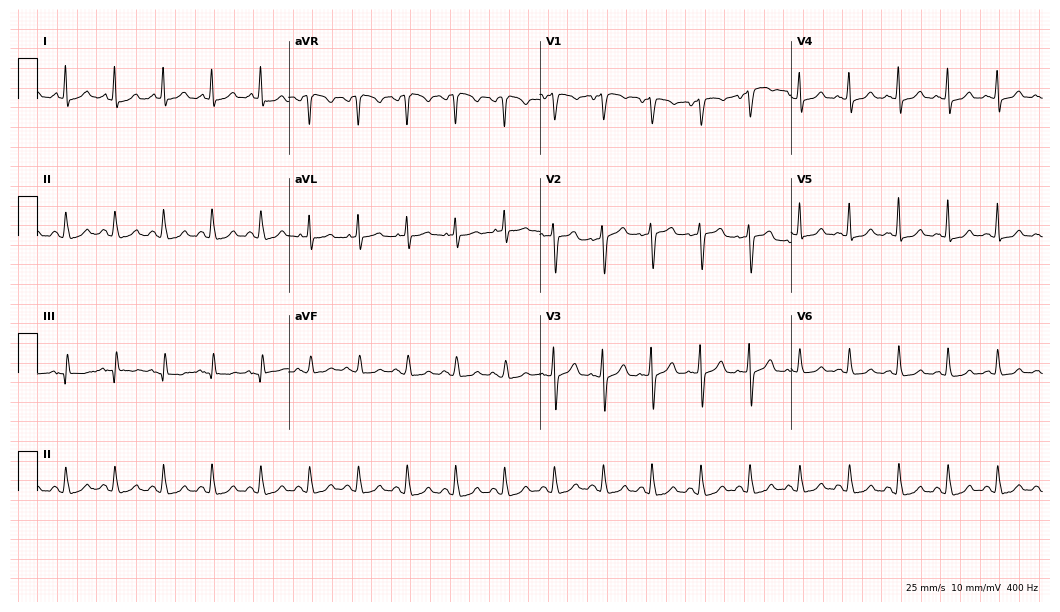
12-lead ECG from a 55-year-old female patient (10.2-second recording at 400 Hz). Shows sinus tachycardia (a sinus rate of 100 beats per minute or more).